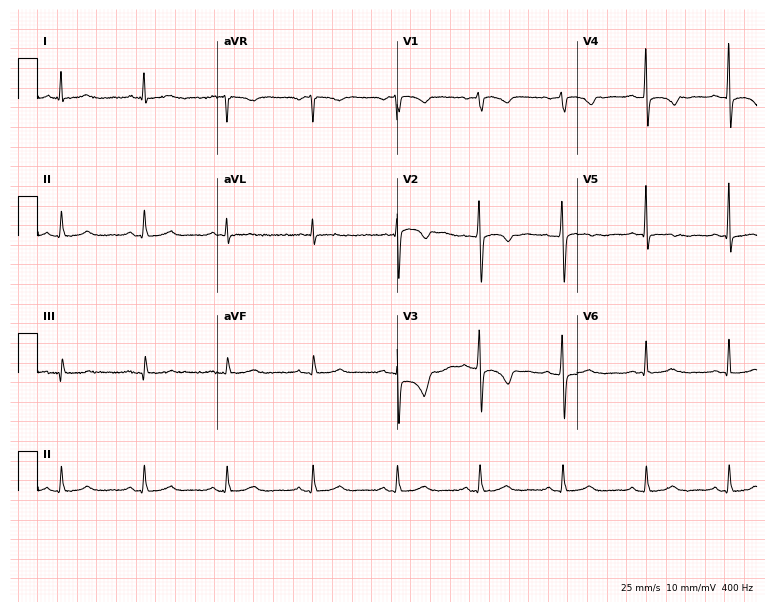
Standard 12-lead ECG recorded from a female, 63 years old (7.3-second recording at 400 Hz). Read as a normal ECG.